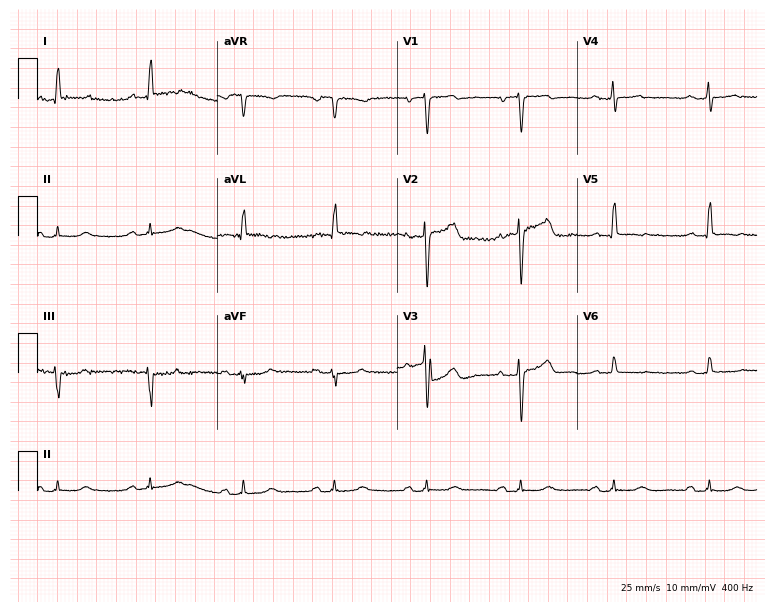
Electrocardiogram (7.3-second recording at 400 Hz), an 83-year-old female. Overall reading on record: normal ECG.